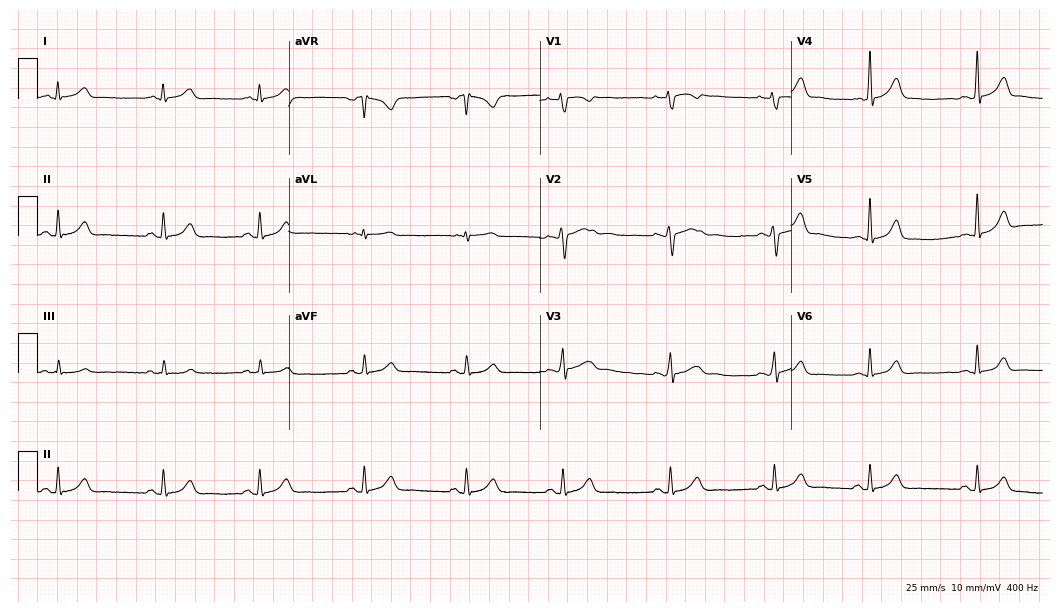
Standard 12-lead ECG recorded from a female, 29 years old. Read as a normal ECG.